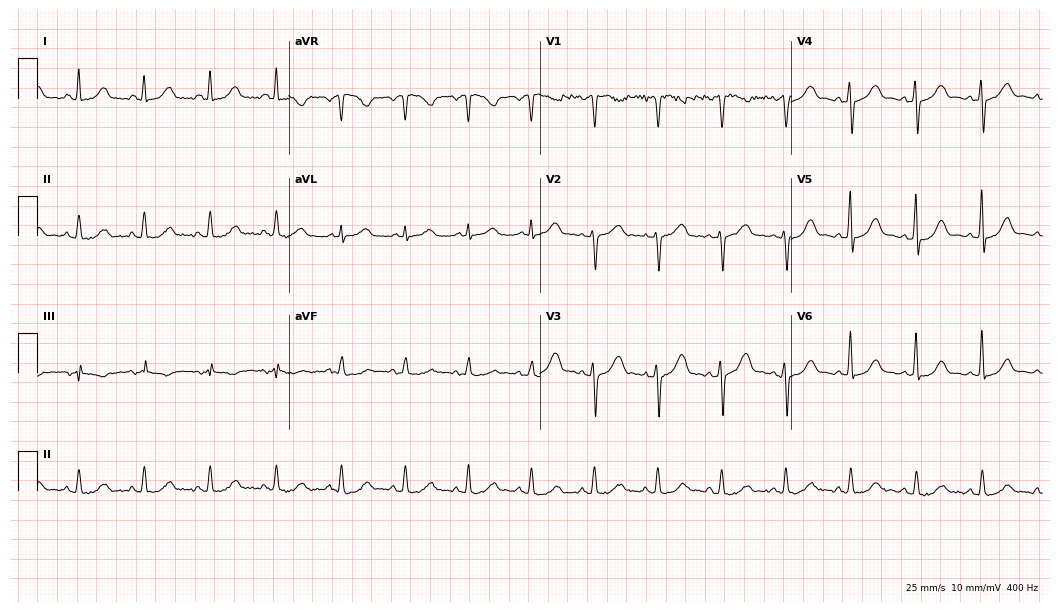
12-lead ECG (10.2-second recording at 400 Hz) from a woman, 71 years old. Screened for six findings — first-degree AV block, right bundle branch block, left bundle branch block, sinus bradycardia, atrial fibrillation, sinus tachycardia — none is recorded. Other findings, if any, are not listed.